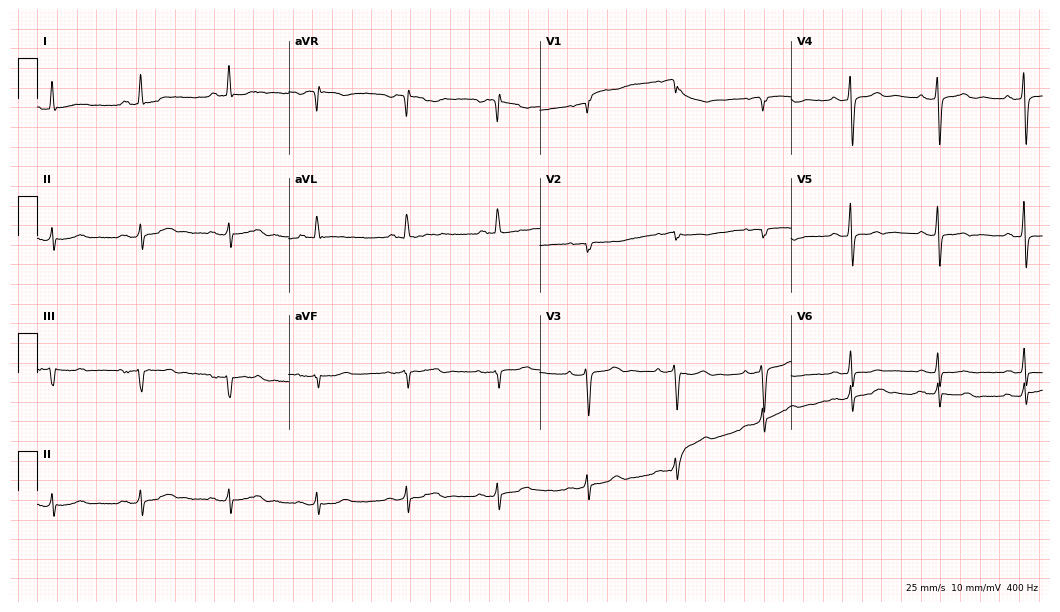
Resting 12-lead electrocardiogram. Patient: a female, 62 years old. None of these six findings is recorded: first-degree AV block, right bundle branch block, left bundle branch block, sinus bradycardia, atrial fibrillation, sinus tachycardia. Only these six findings were labelled.